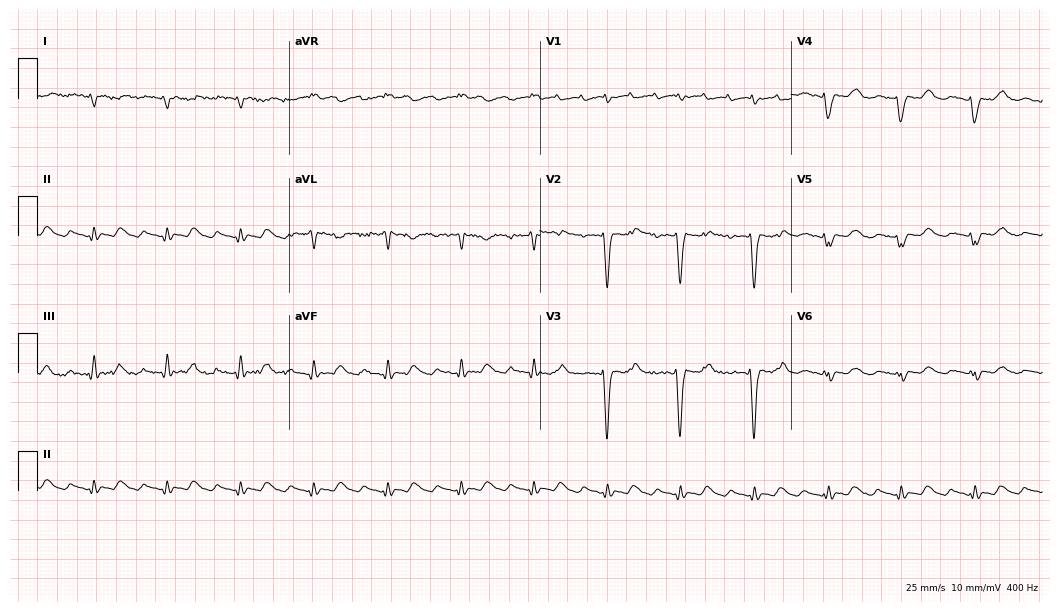
Standard 12-lead ECG recorded from a male, 54 years old (10.2-second recording at 400 Hz). None of these six findings is recorded: first-degree AV block, right bundle branch block (RBBB), left bundle branch block (LBBB), sinus bradycardia, atrial fibrillation (AF), sinus tachycardia.